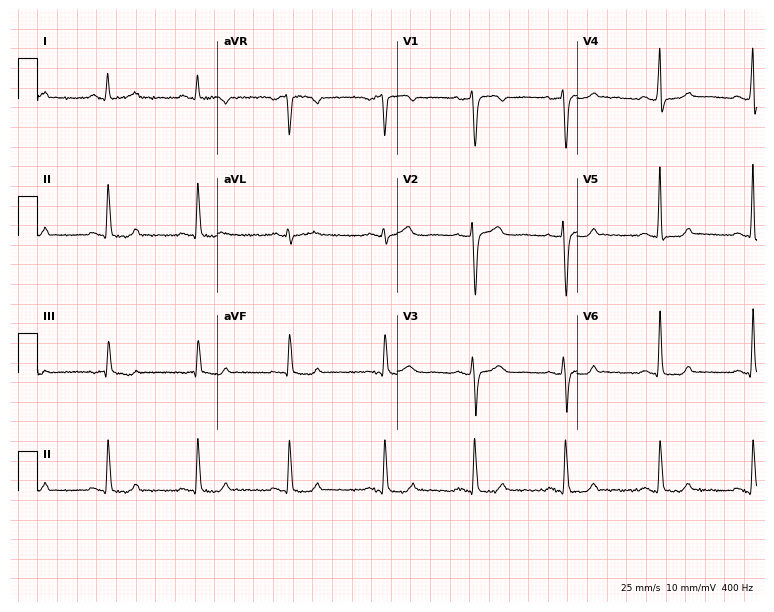
12-lead ECG from a 53-year-old female. Labelled as a normal ECG.